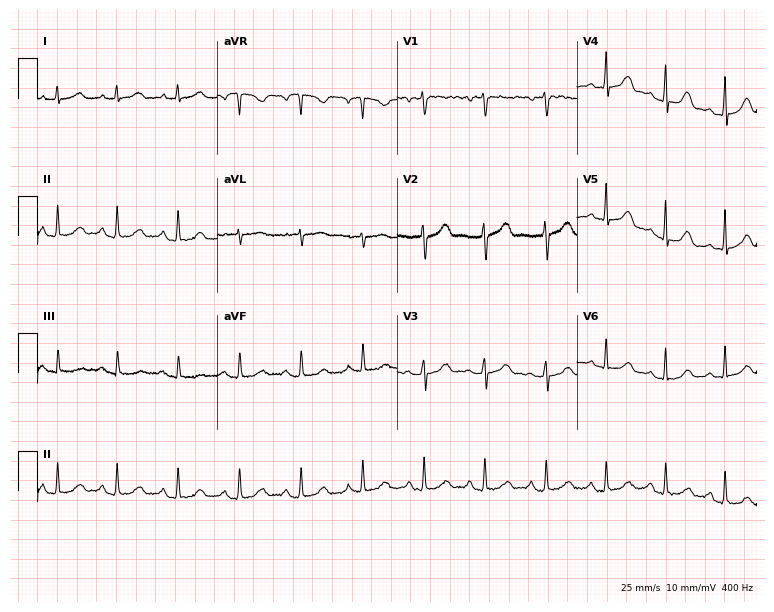
12-lead ECG from a 39-year-old woman (7.3-second recording at 400 Hz). Recorded interpretation: within normal limits.